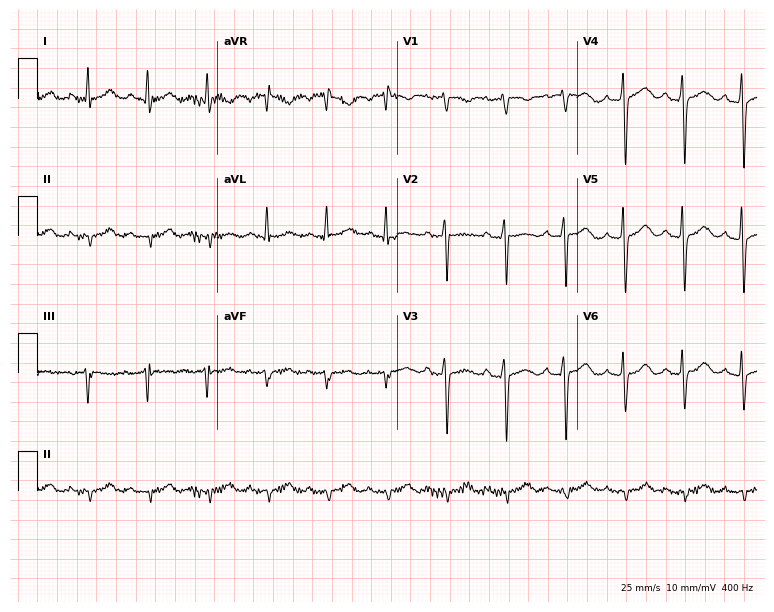
ECG (7.3-second recording at 400 Hz) — a female patient, 75 years old. Screened for six findings — first-degree AV block, right bundle branch block, left bundle branch block, sinus bradycardia, atrial fibrillation, sinus tachycardia — none is recorded. Other findings, if any, are not listed.